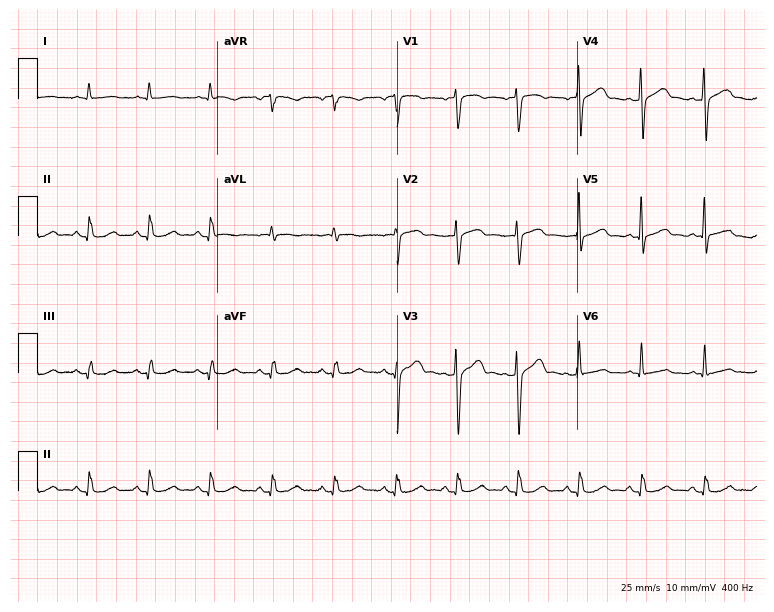
Resting 12-lead electrocardiogram. Patient: an 80-year-old male. Read as a normal ECG.